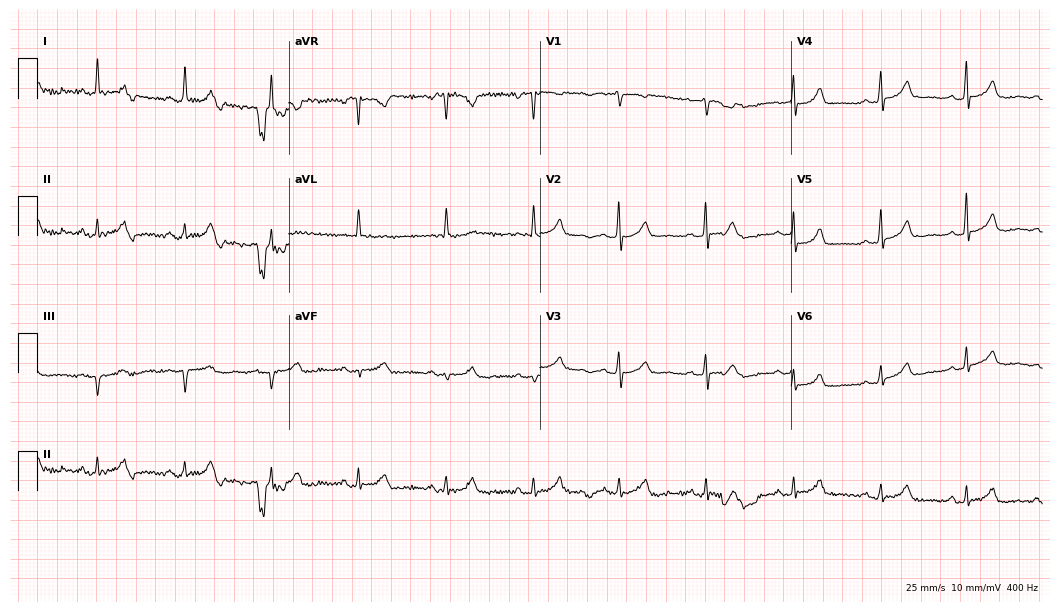
12-lead ECG from a 75-year-old woman (10.2-second recording at 400 Hz). Recorded interpretation: within normal limits.